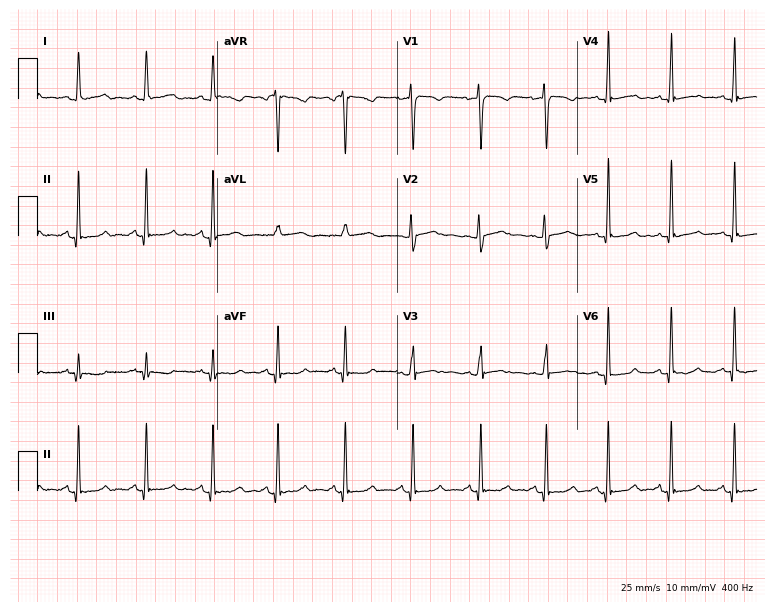
12-lead ECG from a female, 37 years old. Recorded interpretation: within normal limits.